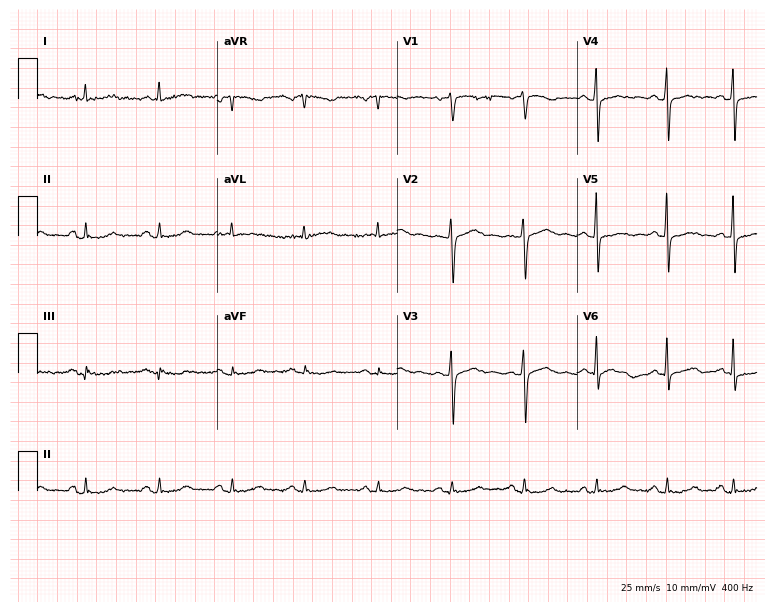
12-lead ECG (7.3-second recording at 400 Hz) from a 72-year-old female patient. Screened for six findings — first-degree AV block, right bundle branch block (RBBB), left bundle branch block (LBBB), sinus bradycardia, atrial fibrillation (AF), sinus tachycardia — none is recorded.